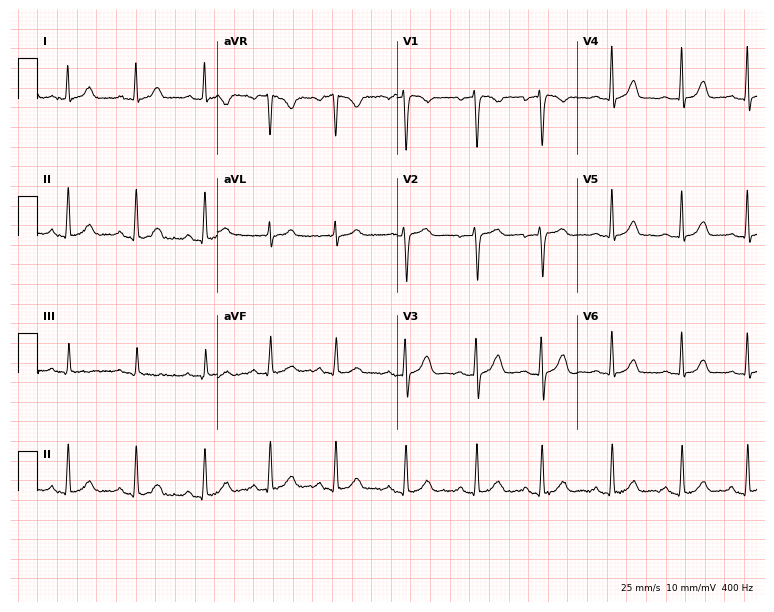
Standard 12-lead ECG recorded from a 40-year-old woman. None of these six findings is recorded: first-degree AV block, right bundle branch block (RBBB), left bundle branch block (LBBB), sinus bradycardia, atrial fibrillation (AF), sinus tachycardia. Only these six findings were labelled.